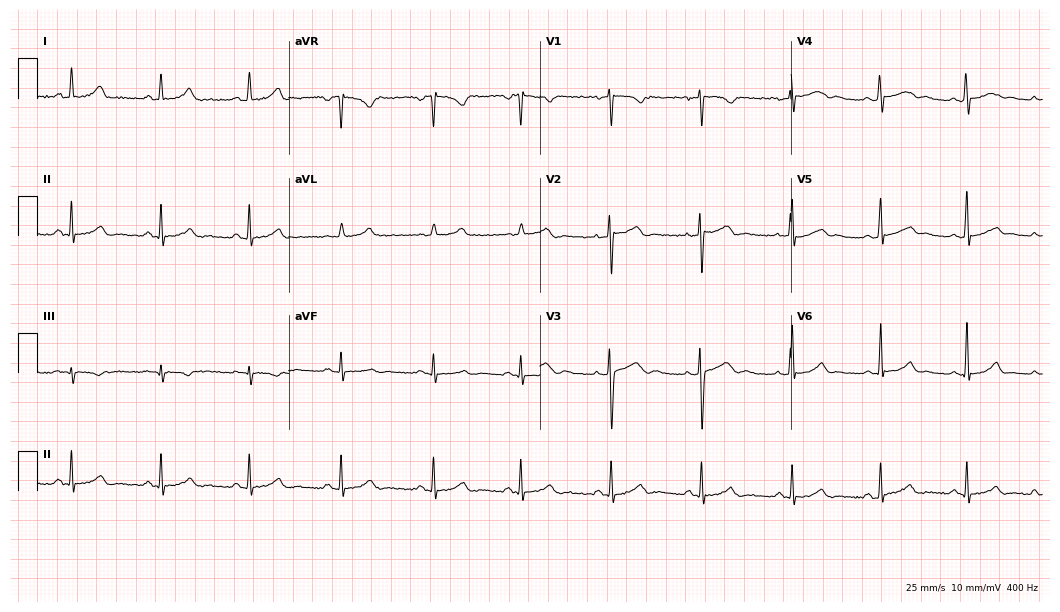
Electrocardiogram (10.2-second recording at 400 Hz), a woman, 27 years old. Overall reading on record: normal ECG.